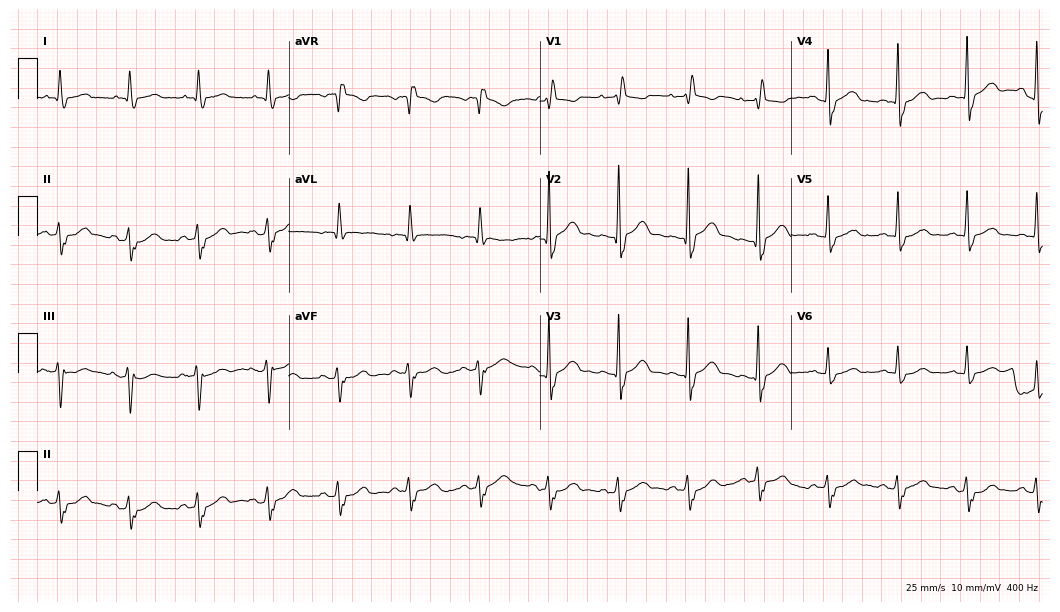
ECG — a male patient, 82 years old. Screened for six findings — first-degree AV block, right bundle branch block, left bundle branch block, sinus bradycardia, atrial fibrillation, sinus tachycardia — none is recorded. Findings outside these six are not listed.